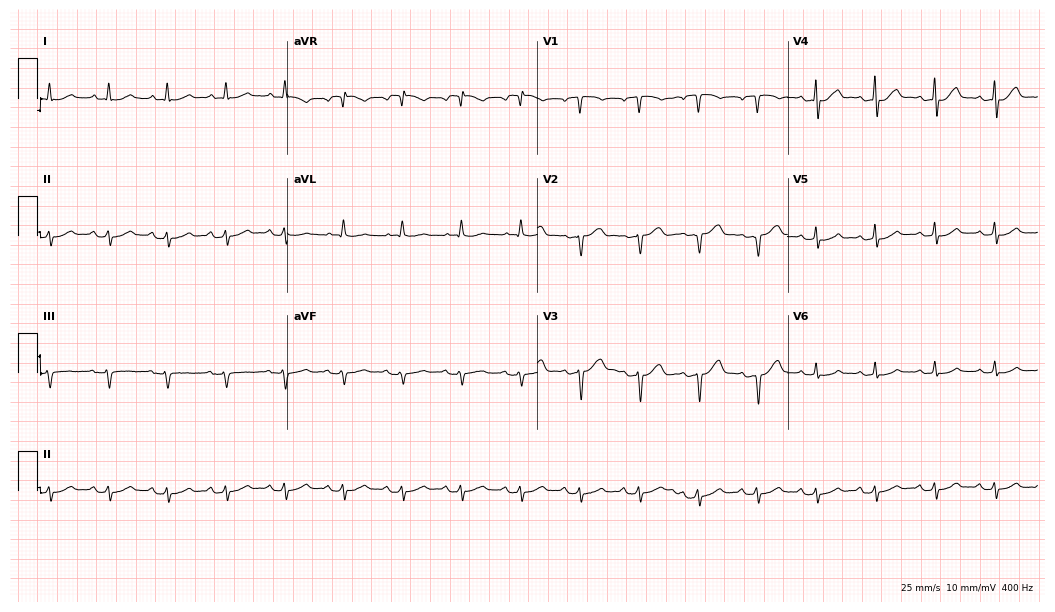
ECG — a woman, 61 years old. Labelled as a normal ECG.